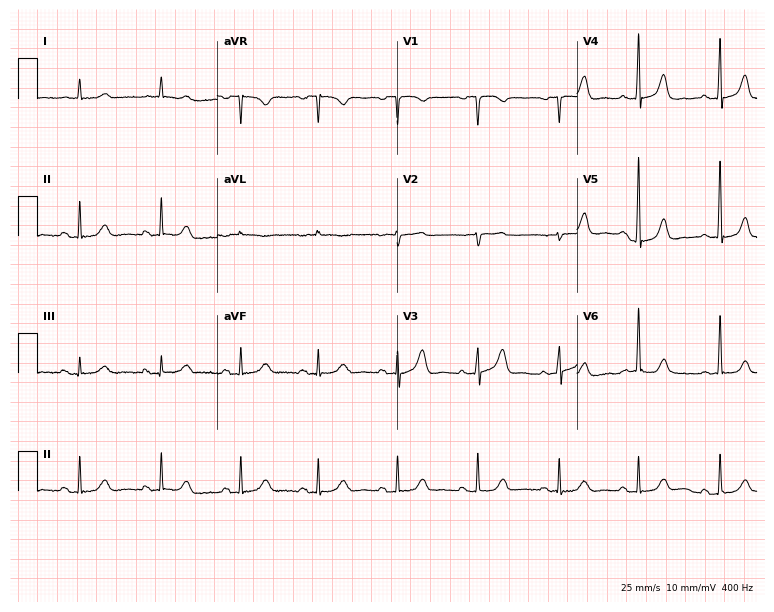
12-lead ECG from an 83-year-old male (7.3-second recording at 400 Hz). Recorded interpretation: within normal limits.